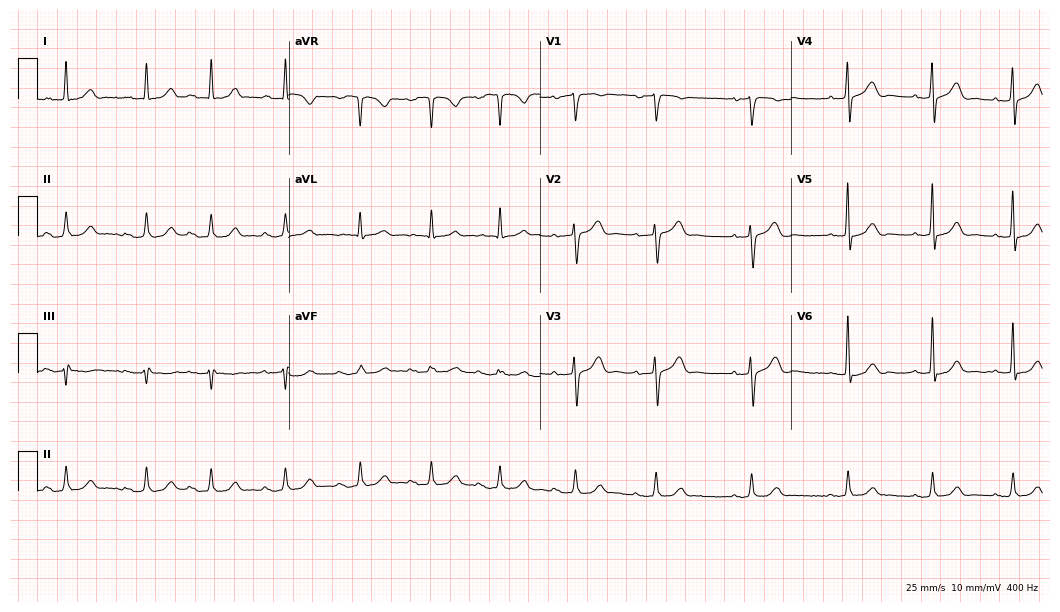
Resting 12-lead electrocardiogram. Patient: a man, 76 years old. Read as a normal ECG.